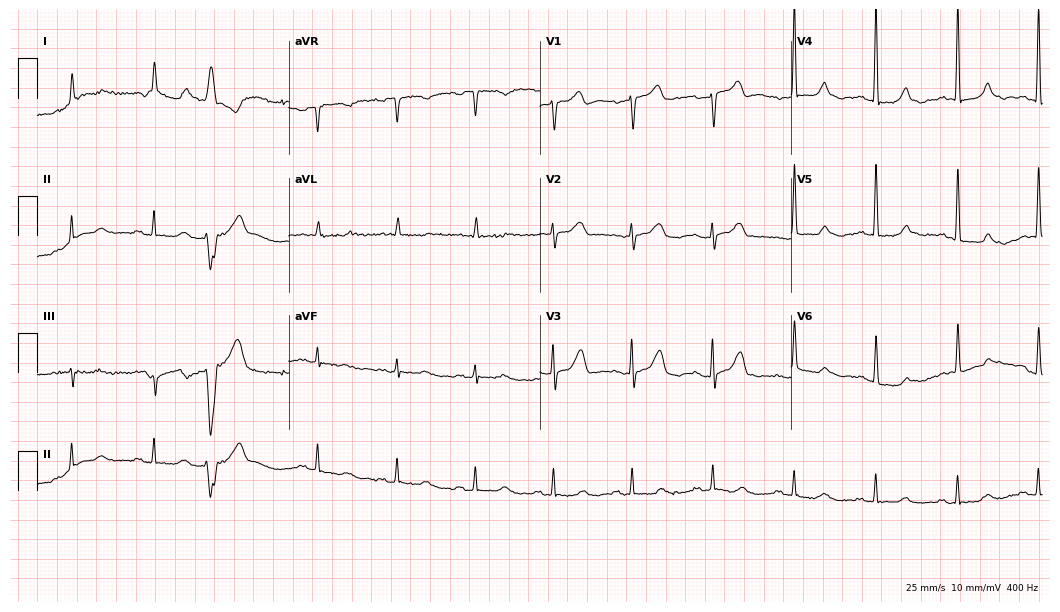
Standard 12-lead ECG recorded from a male patient, 84 years old. None of these six findings is recorded: first-degree AV block, right bundle branch block (RBBB), left bundle branch block (LBBB), sinus bradycardia, atrial fibrillation (AF), sinus tachycardia.